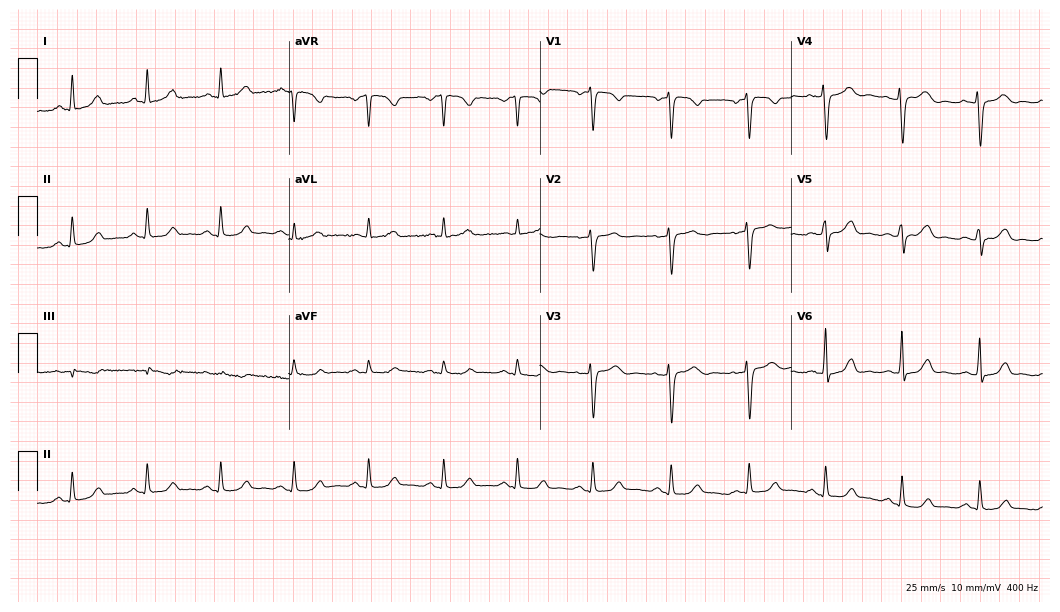
Electrocardiogram (10.2-second recording at 400 Hz), a 45-year-old female. Overall reading on record: normal ECG.